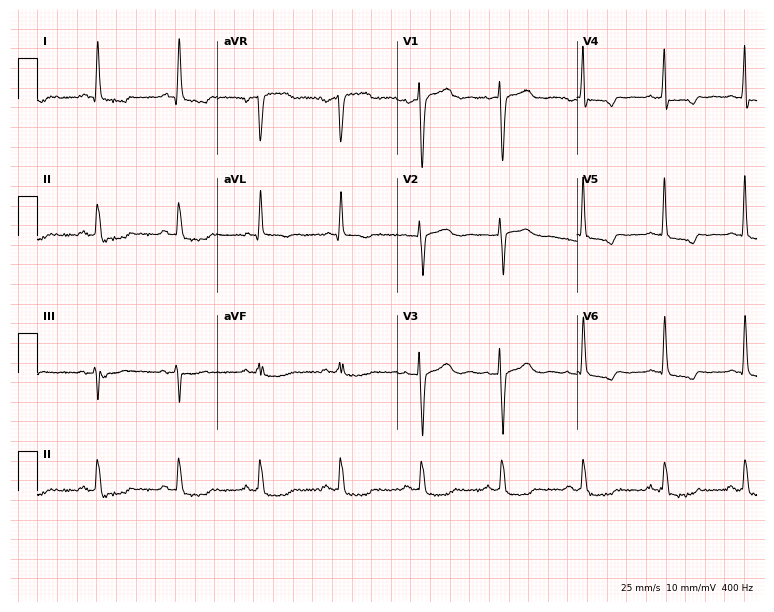
12-lead ECG from a female patient, 70 years old (7.3-second recording at 400 Hz). No first-degree AV block, right bundle branch block (RBBB), left bundle branch block (LBBB), sinus bradycardia, atrial fibrillation (AF) or sinus tachycardia recorded for this tracing.